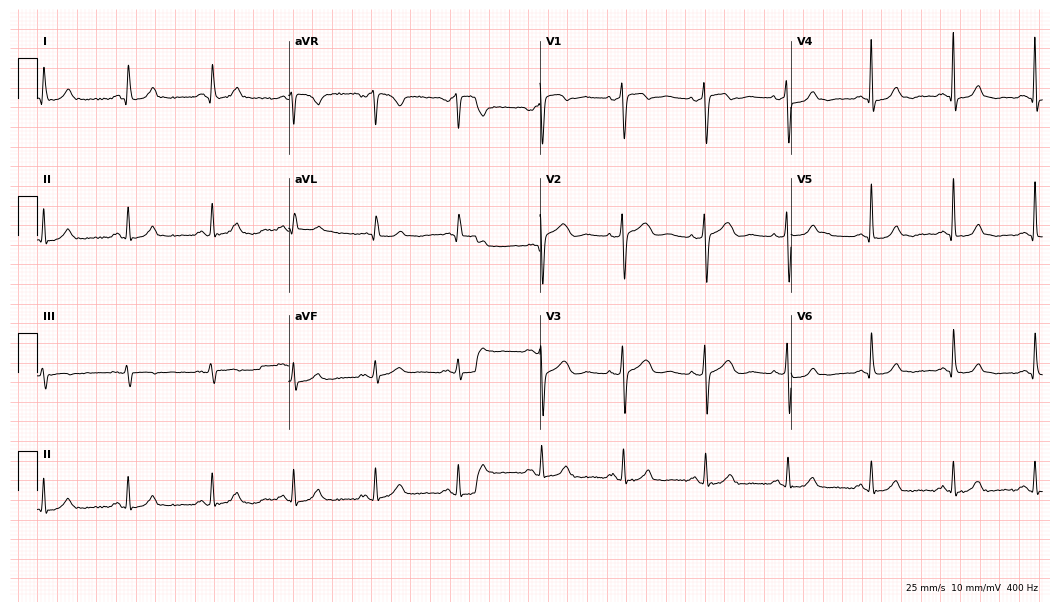
12-lead ECG (10.2-second recording at 400 Hz) from a female, 60 years old. Screened for six findings — first-degree AV block, right bundle branch block, left bundle branch block, sinus bradycardia, atrial fibrillation, sinus tachycardia — none is recorded.